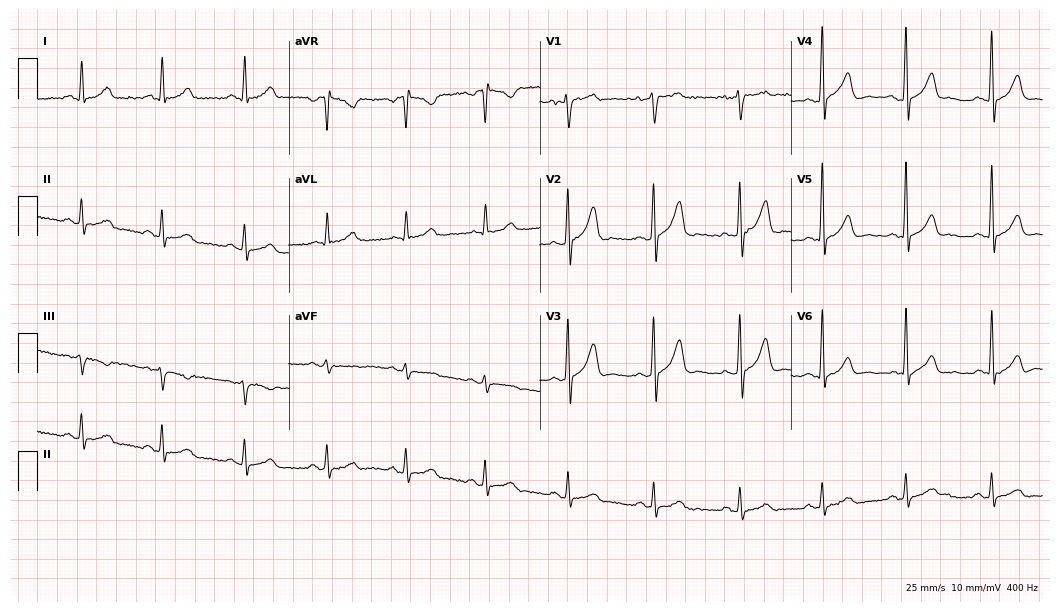
12-lead ECG from a male, 43 years old (10.2-second recording at 400 Hz). No first-degree AV block, right bundle branch block, left bundle branch block, sinus bradycardia, atrial fibrillation or sinus tachycardia recorded for this tracing.